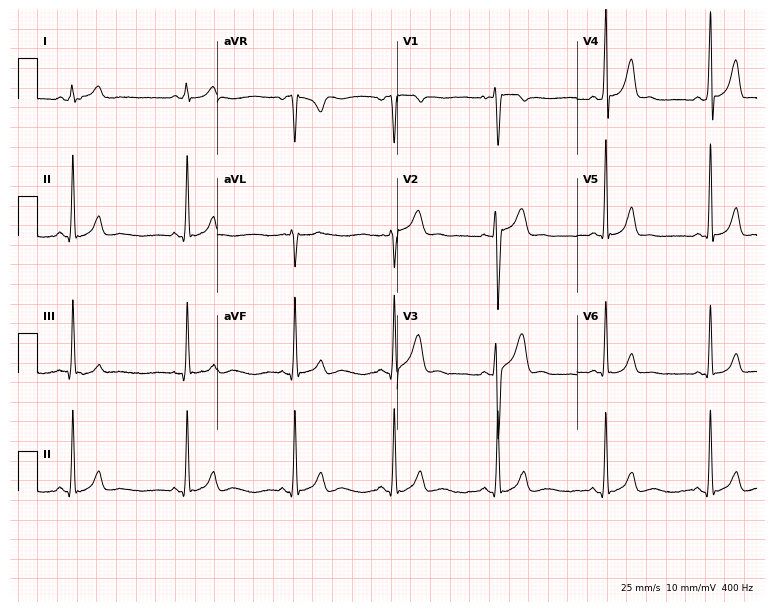
Resting 12-lead electrocardiogram. Patient: a man, 20 years old. Read as a normal ECG.